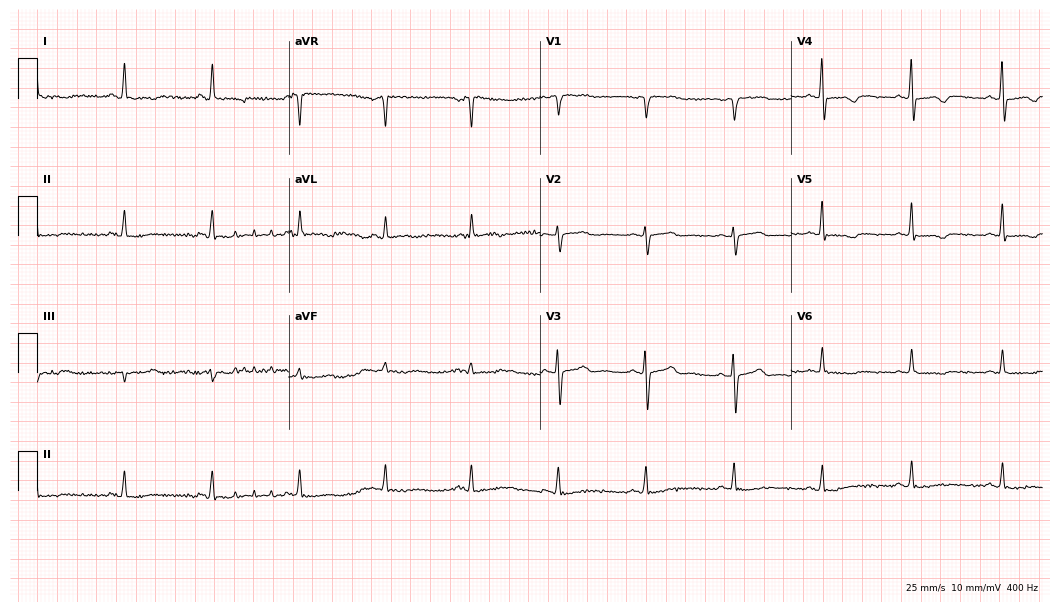
12-lead ECG (10.2-second recording at 400 Hz) from a 63-year-old woman. Screened for six findings — first-degree AV block, right bundle branch block, left bundle branch block, sinus bradycardia, atrial fibrillation, sinus tachycardia — none is recorded.